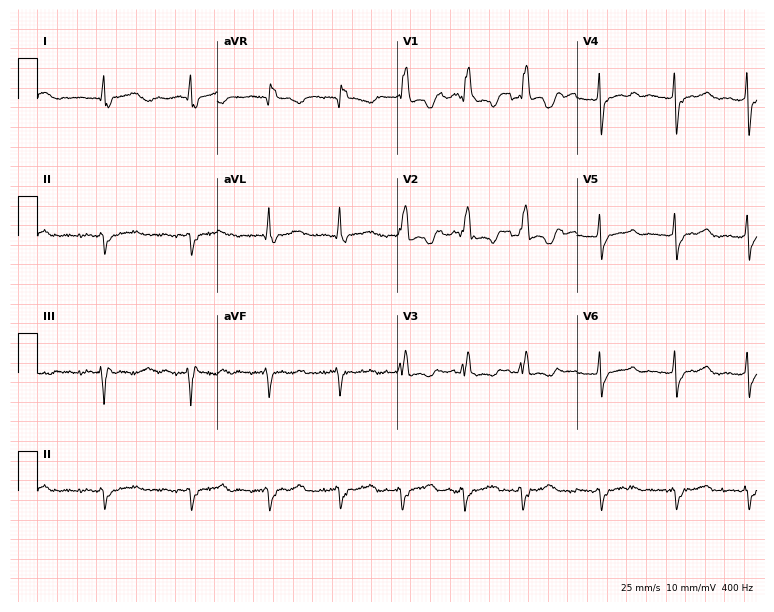
12-lead ECG from a 69-year-old female patient (7.3-second recording at 400 Hz). Shows right bundle branch block.